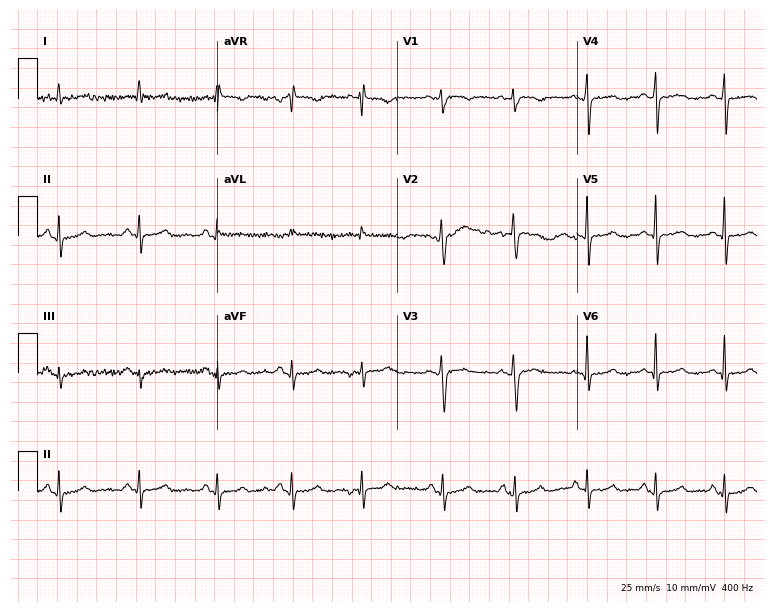
Standard 12-lead ECG recorded from a female patient, 54 years old (7.3-second recording at 400 Hz). Read as a normal ECG.